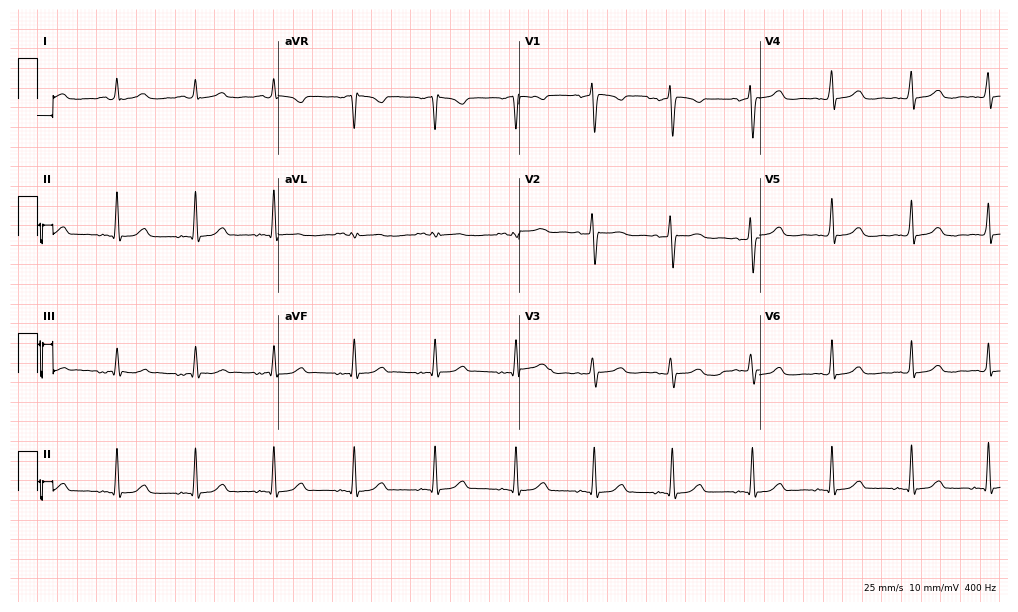
Resting 12-lead electrocardiogram (9.8-second recording at 400 Hz). Patient: a 50-year-old female. Read as a normal ECG.